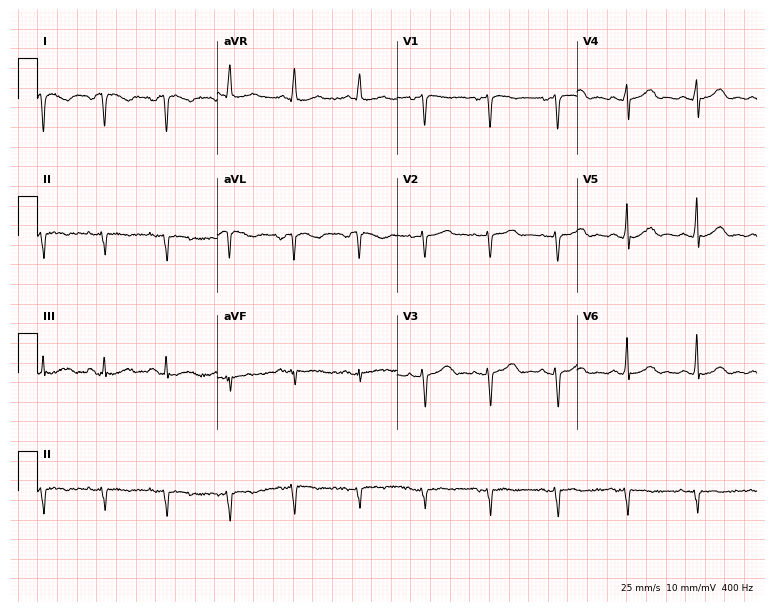
Standard 12-lead ECG recorded from a 54-year-old female. None of these six findings is recorded: first-degree AV block, right bundle branch block (RBBB), left bundle branch block (LBBB), sinus bradycardia, atrial fibrillation (AF), sinus tachycardia. Other findings, if any, are not listed.